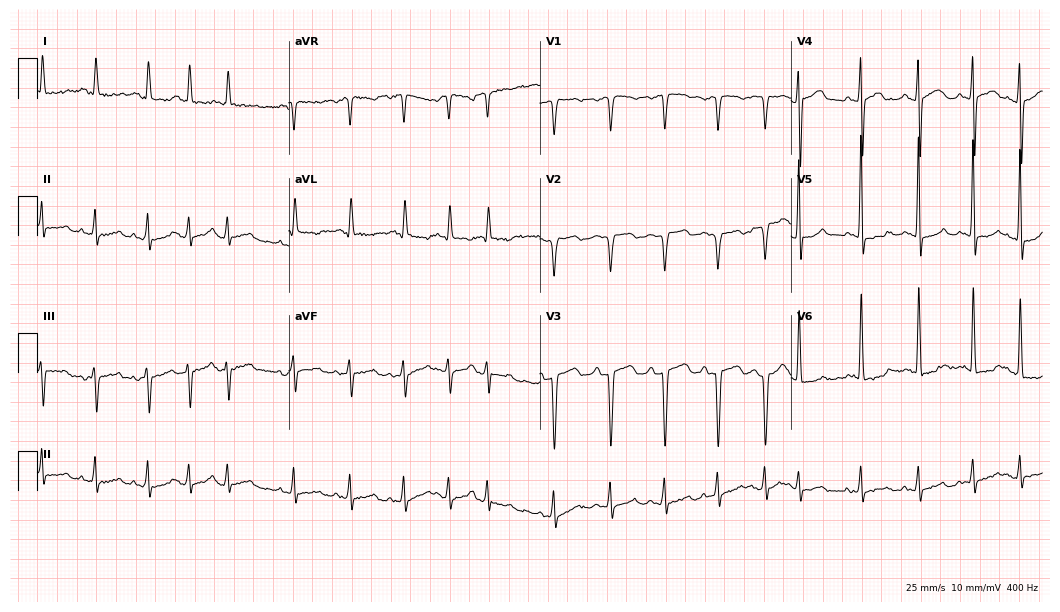
12-lead ECG from a 69-year-old woman (10.2-second recording at 400 Hz). No first-degree AV block, right bundle branch block, left bundle branch block, sinus bradycardia, atrial fibrillation or sinus tachycardia recorded for this tracing. Other findings, if any, are not listed.